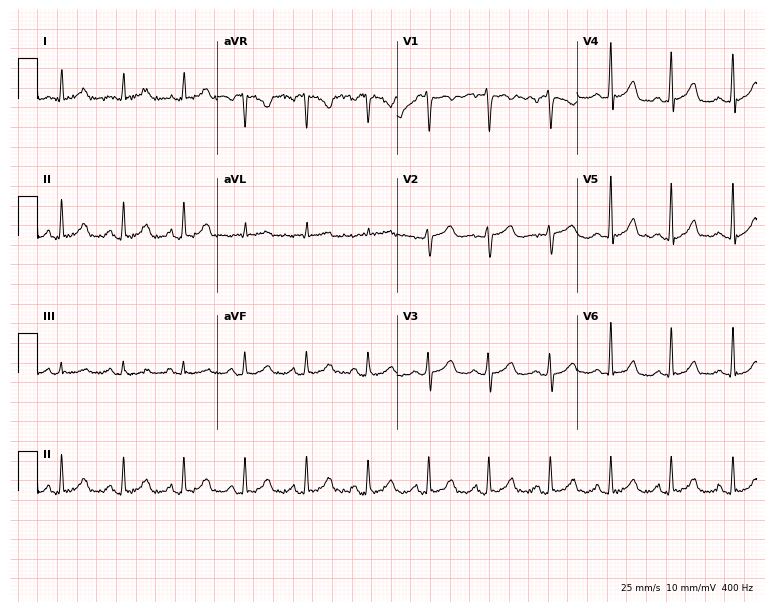
Resting 12-lead electrocardiogram. Patient: a female, 39 years old. Read as a normal ECG.